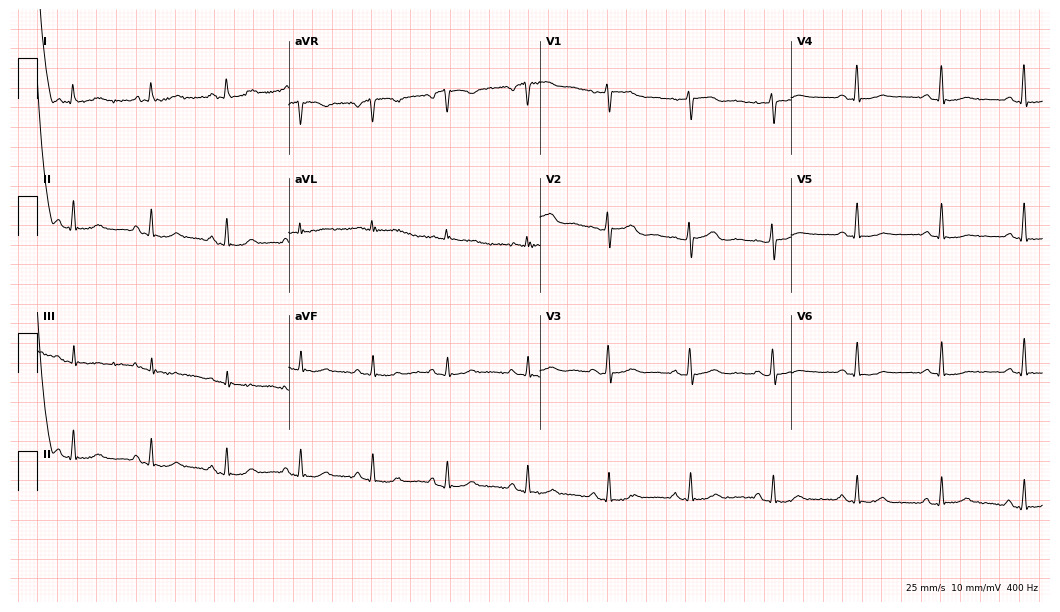
12-lead ECG from a woman, 58 years old (10.2-second recording at 400 Hz). No first-degree AV block, right bundle branch block, left bundle branch block, sinus bradycardia, atrial fibrillation or sinus tachycardia recorded for this tracing. Other findings, if any, are not listed.